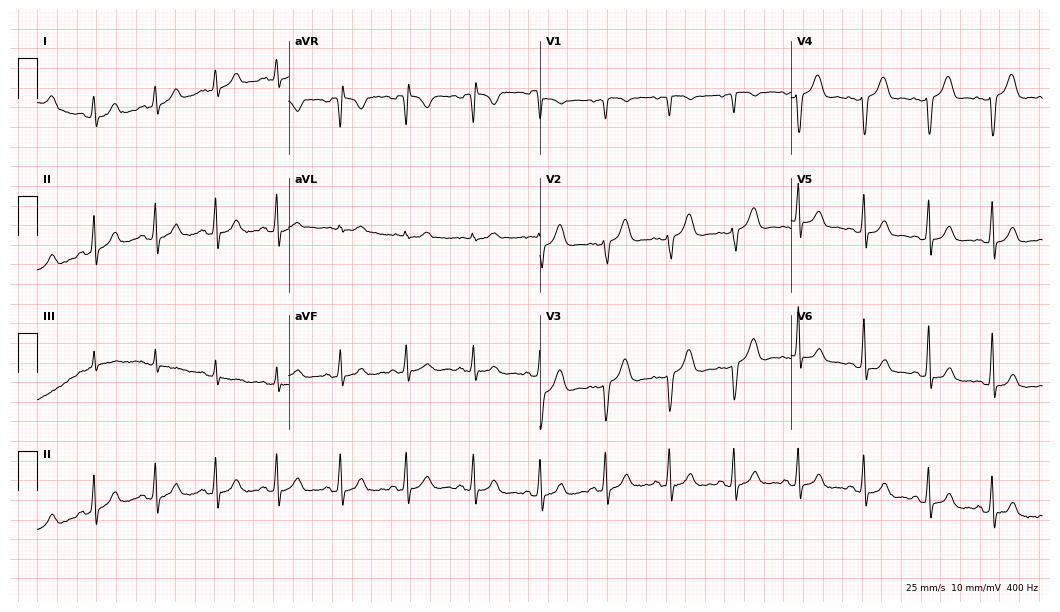
12-lead ECG (10.2-second recording at 400 Hz) from a 33-year-old female patient. Screened for six findings — first-degree AV block, right bundle branch block, left bundle branch block, sinus bradycardia, atrial fibrillation, sinus tachycardia — none is recorded.